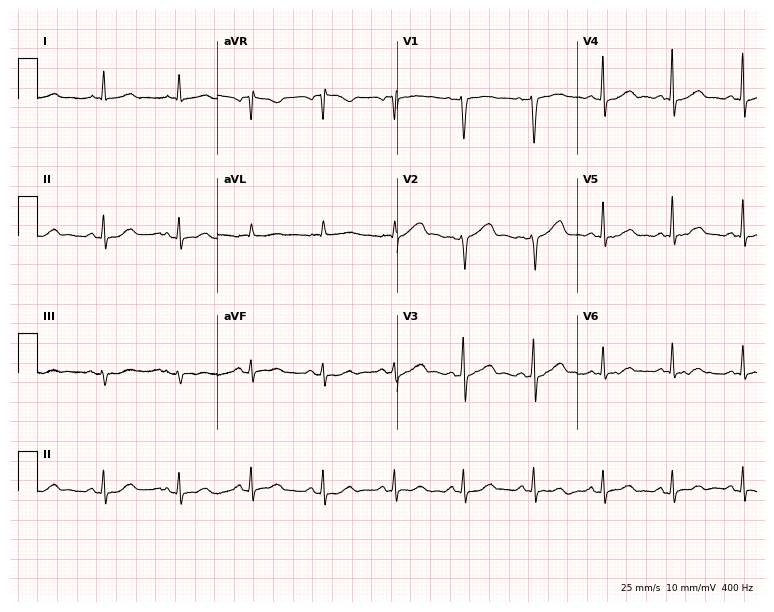
Electrocardiogram (7.3-second recording at 400 Hz), a woman, 40 years old. Of the six screened findings (first-degree AV block, right bundle branch block (RBBB), left bundle branch block (LBBB), sinus bradycardia, atrial fibrillation (AF), sinus tachycardia), none is recorded.